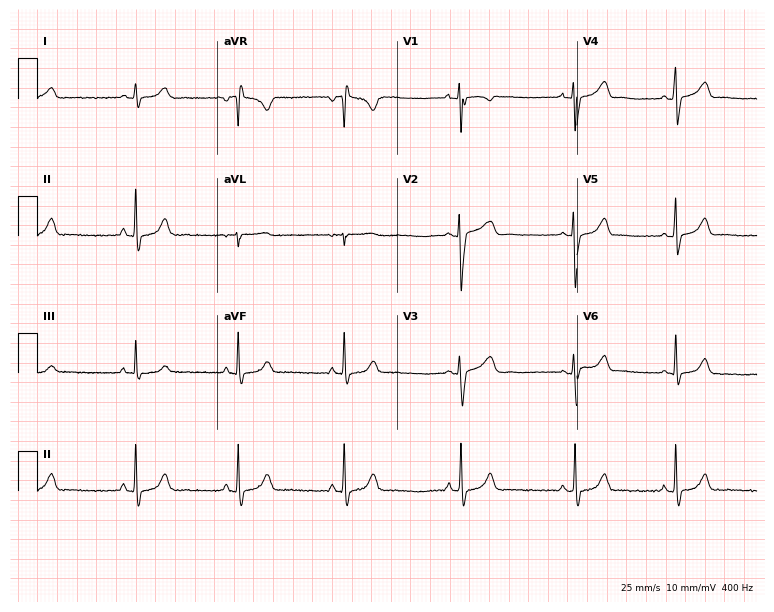
Standard 12-lead ECG recorded from a female, 19 years old. None of these six findings is recorded: first-degree AV block, right bundle branch block, left bundle branch block, sinus bradycardia, atrial fibrillation, sinus tachycardia. Findings outside these six are not listed.